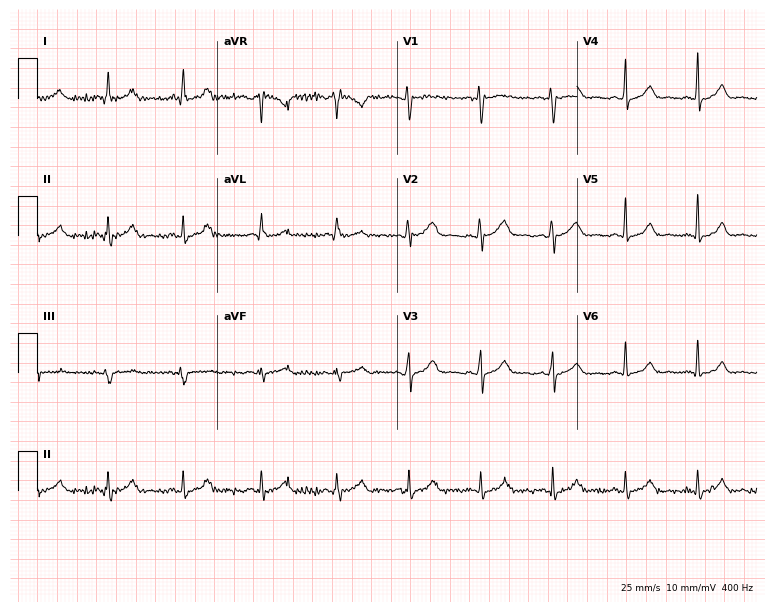
ECG — a female, 40 years old. Labelled as a normal ECG.